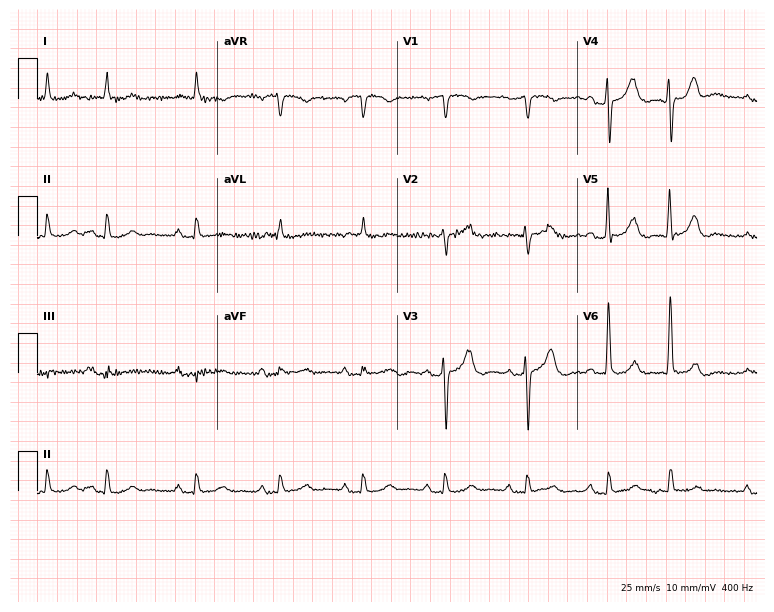
Electrocardiogram (7.3-second recording at 400 Hz), a 78-year-old male. Overall reading on record: normal ECG.